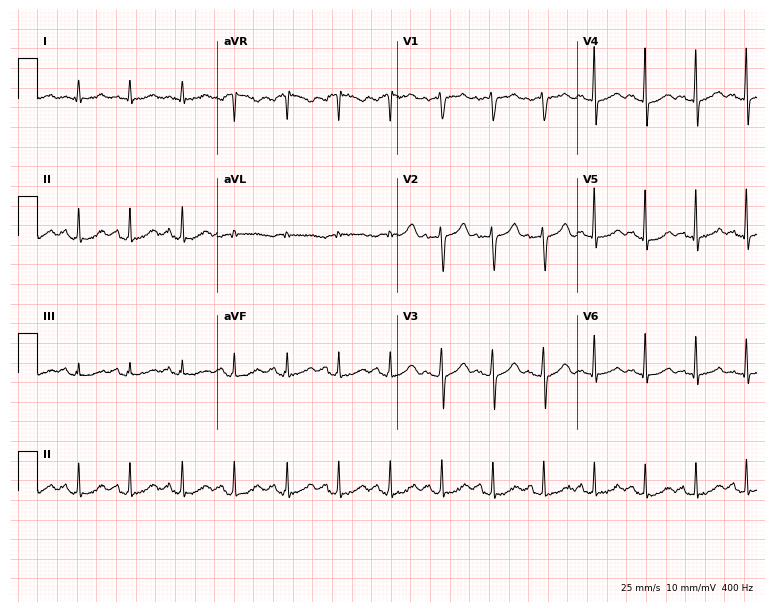
ECG — a man, 58 years old. Findings include sinus tachycardia (a sinus rate of 100 beats per minute or more).